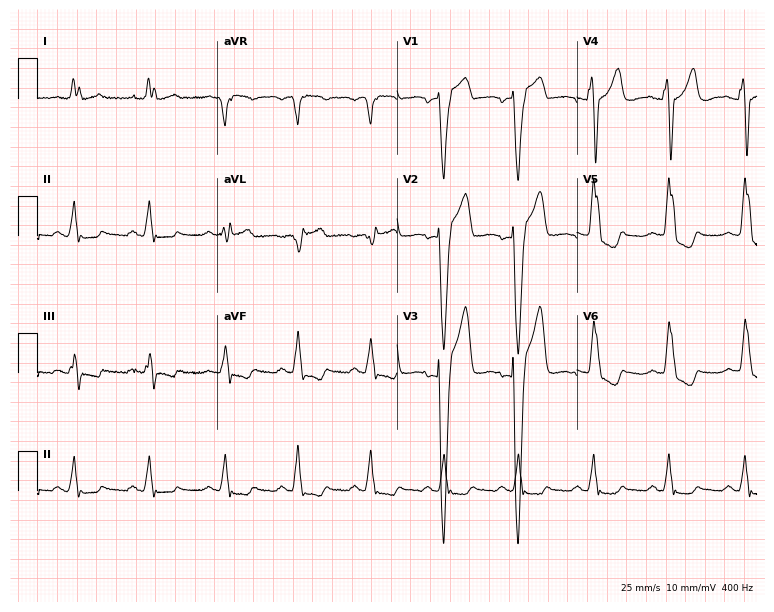
ECG (7.3-second recording at 400 Hz) — a 60-year-old female patient. Findings include left bundle branch block (LBBB).